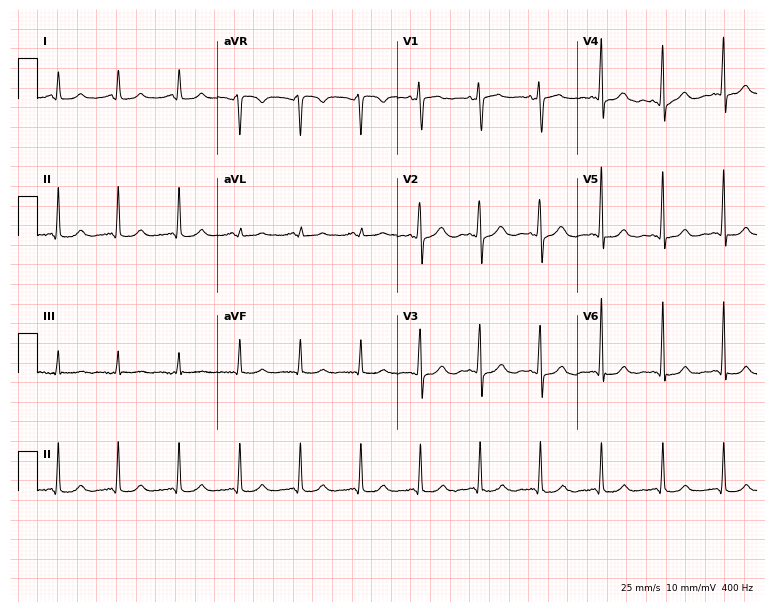
Standard 12-lead ECG recorded from a 42-year-old female patient (7.3-second recording at 400 Hz). Read as a normal ECG.